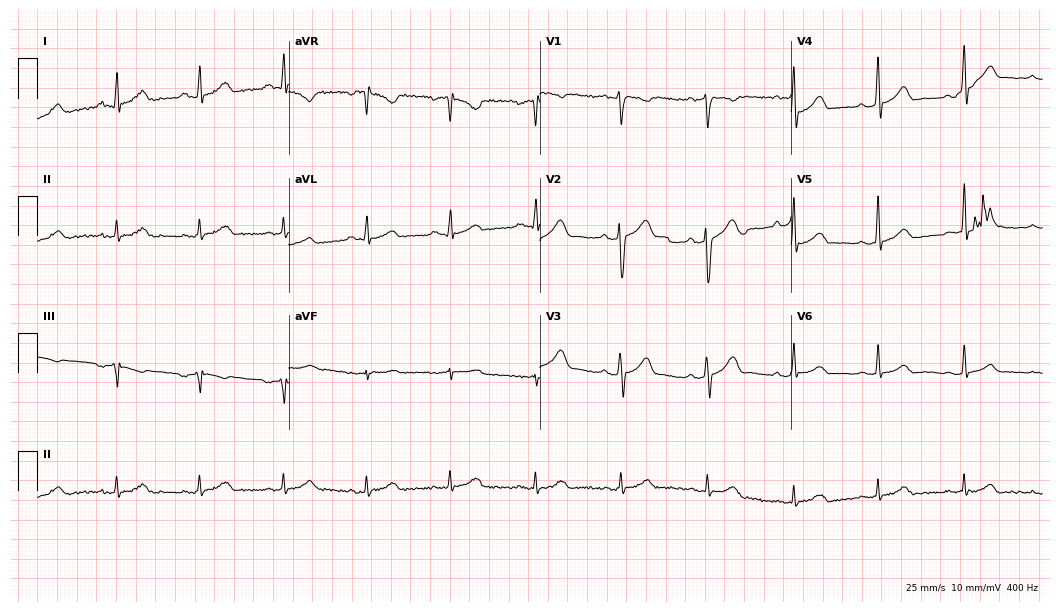
12-lead ECG from a male patient, 41 years old (10.2-second recording at 400 Hz). Recorded interpretation: within normal limits.